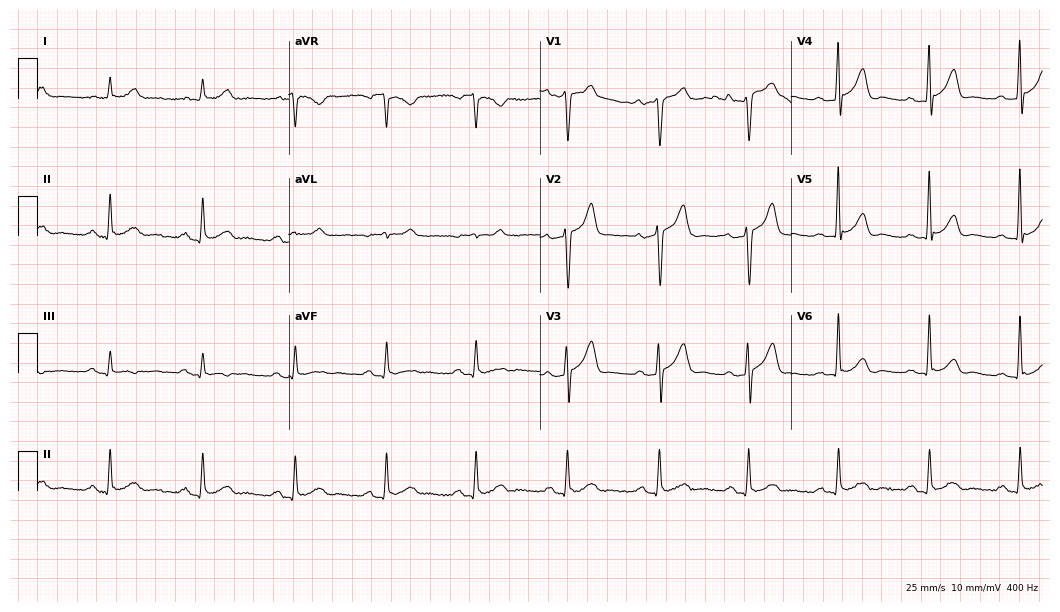
Electrocardiogram (10.2-second recording at 400 Hz), a 63-year-old male patient. Overall reading on record: normal ECG.